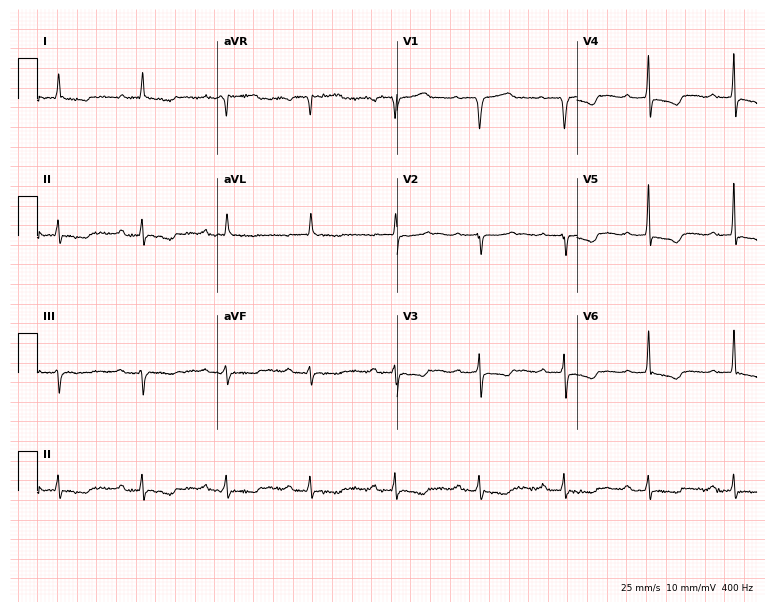
Standard 12-lead ECG recorded from a male patient, 74 years old. None of these six findings is recorded: first-degree AV block, right bundle branch block, left bundle branch block, sinus bradycardia, atrial fibrillation, sinus tachycardia.